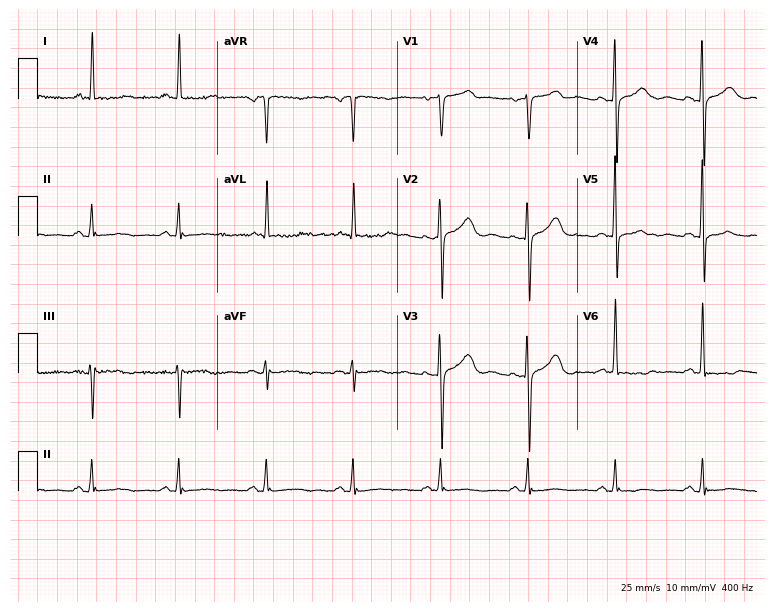
12-lead ECG from a 67-year-old woman. No first-degree AV block, right bundle branch block, left bundle branch block, sinus bradycardia, atrial fibrillation or sinus tachycardia recorded for this tracing. Findings outside these six are not listed.